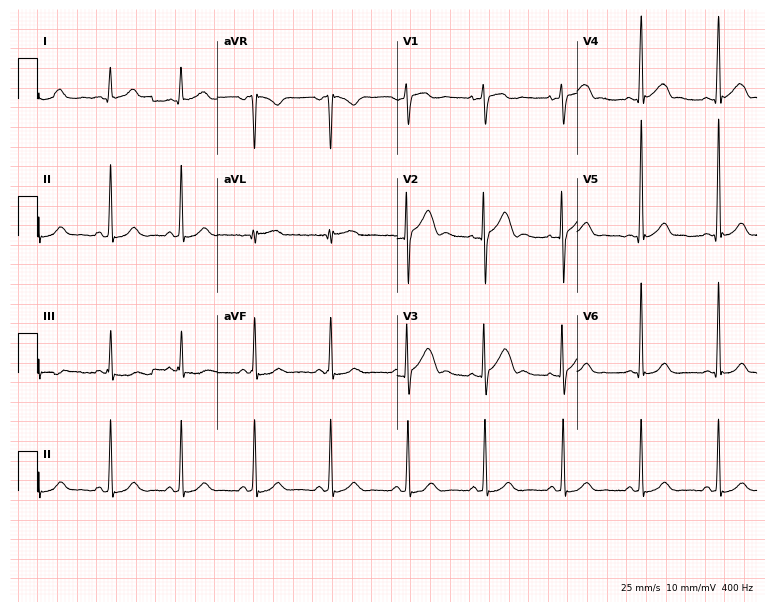
Standard 12-lead ECG recorded from a man, 22 years old. Read as a normal ECG.